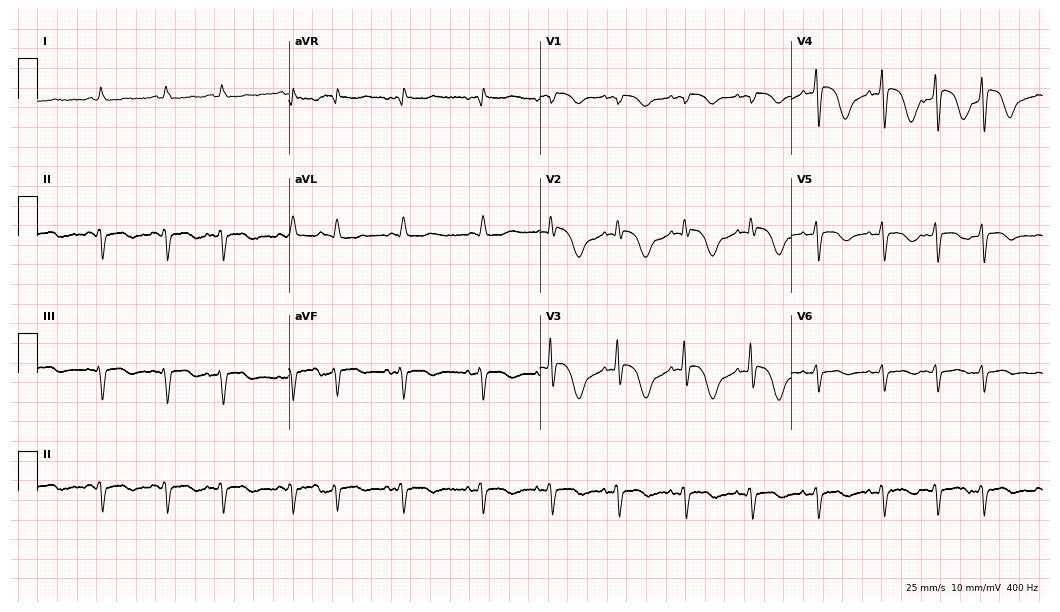
ECG — an 85-year-old woman. Screened for six findings — first-degree AV block, right bundle branch block (RBBB), left bundle branch block (LBBB), sinus bradycardia, atrial fibrillation (AF), sinus tachycardia — none is recorded.